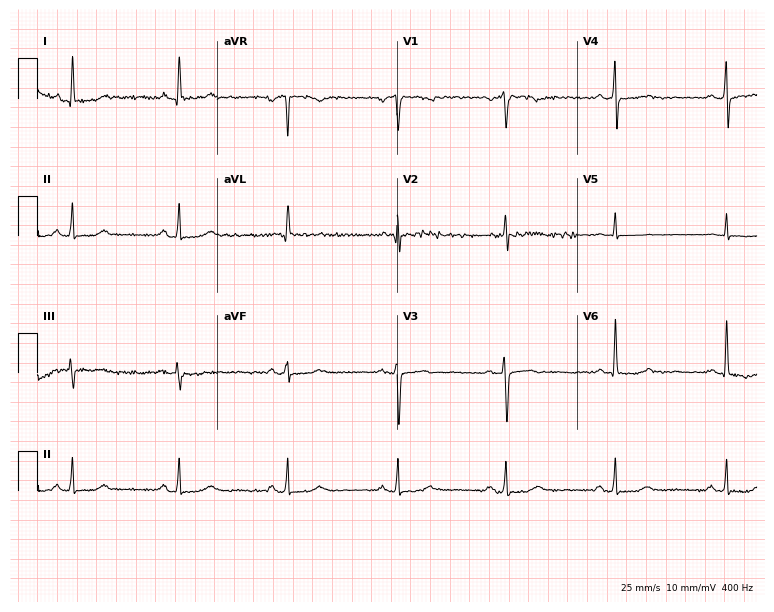
Standard 12-lead ECG recorded from a 64-year-old woman (7.3-second recording at 400 Hz). Read as a normal ECG.